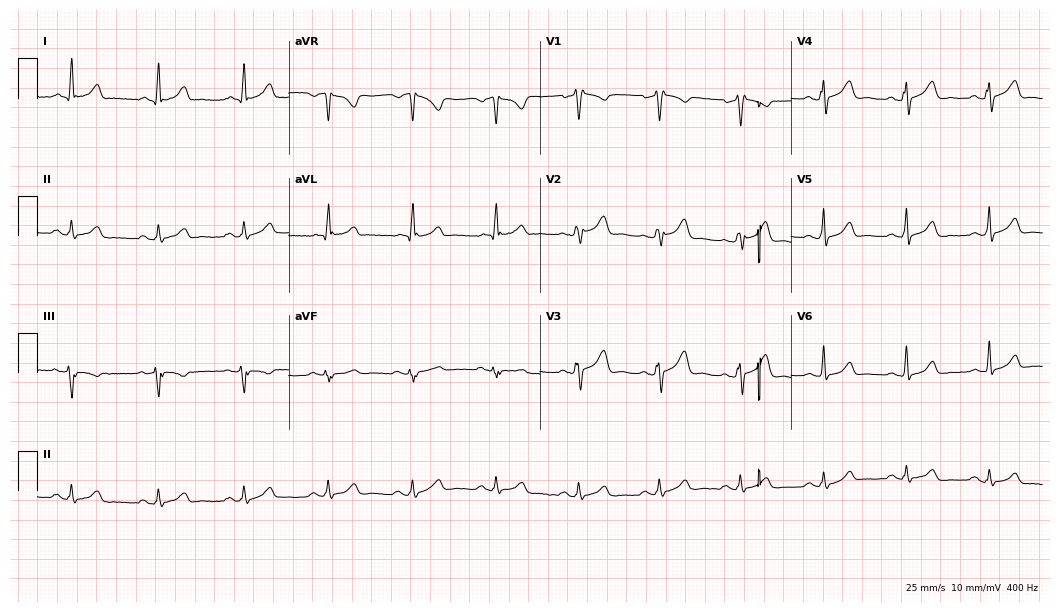
12-lead ECG from a 40-year-old male (10.2-second recording at 400 Hz). No first-degree AV block, right bundle branch block, left bundle branch block, sinus bradycardia, atrial fibrillation or sinus tachycardia recorded for this tracing.